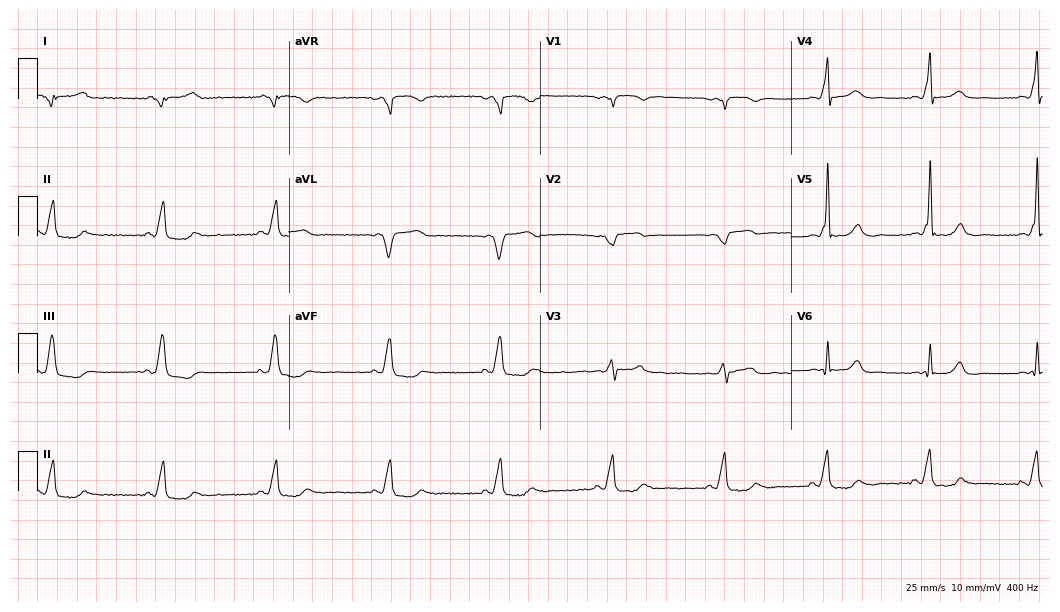
Resting 12-lead electrocardiogram (10.2-second recording at 400 Hz). Patient: a man, 74 years old. None of these six findings is recorded: first-degree AV block, right bundle branch block (RBBB), left bundle branch block (LBBB), sinus bradycardia, atrial fibrillation (AF), sinus tachycardia. Findings outside these six are not listed.